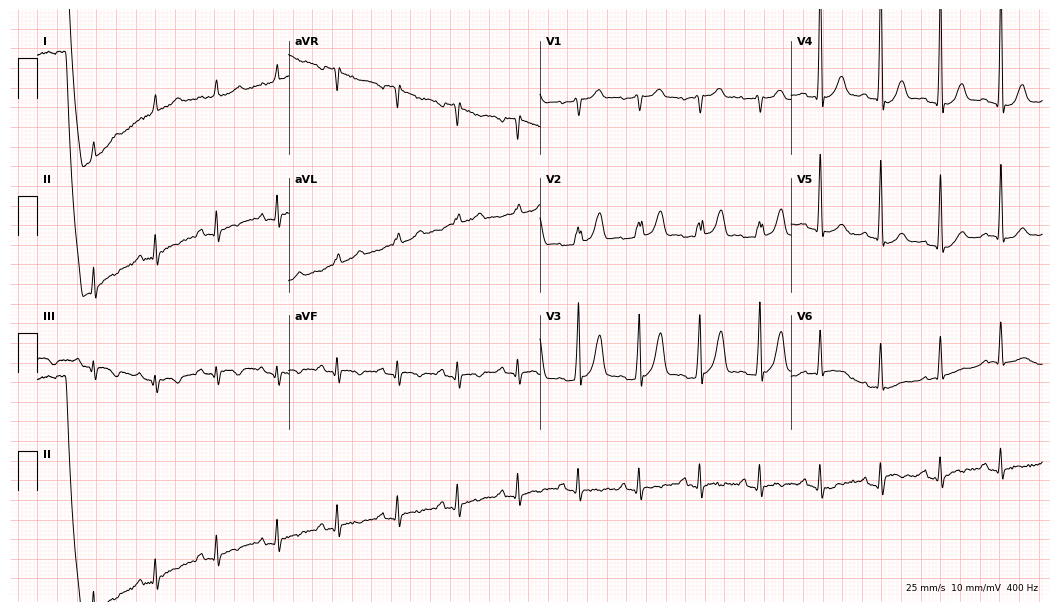
Resting 12-lead electrocardiogram (10.2-second recording at 400 Hz). Patient: a 64-year-old male. Read as a normal ECG.